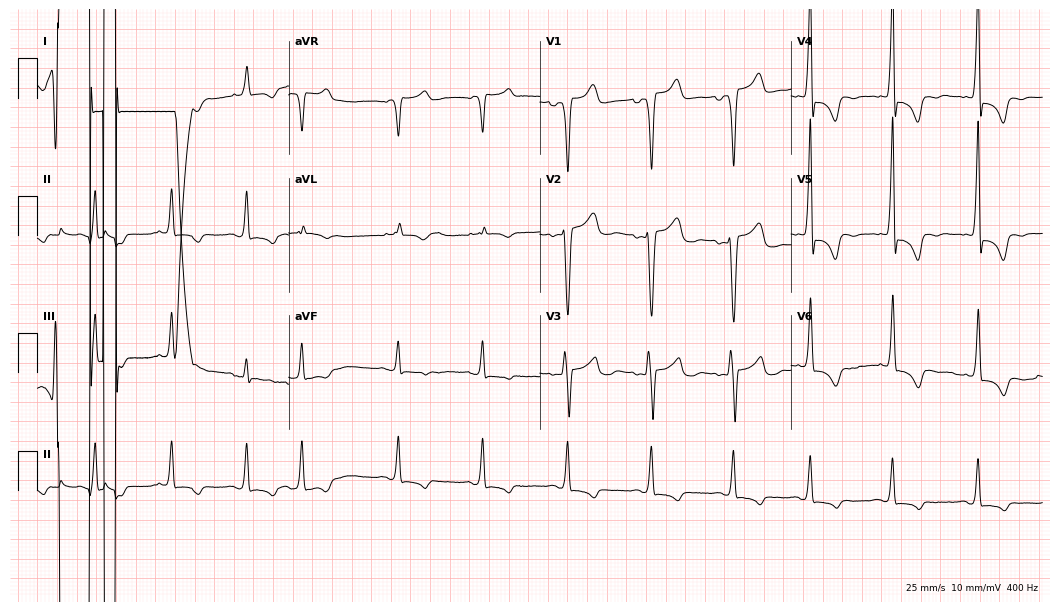
12-lead ECG from a male, 83 years old. Screened for six findings — first-degree AV block, right bundle branch block, left bundle branch block, sinus bradycardia, atrial fibrillation, sinus tachycardia — none is recorded.